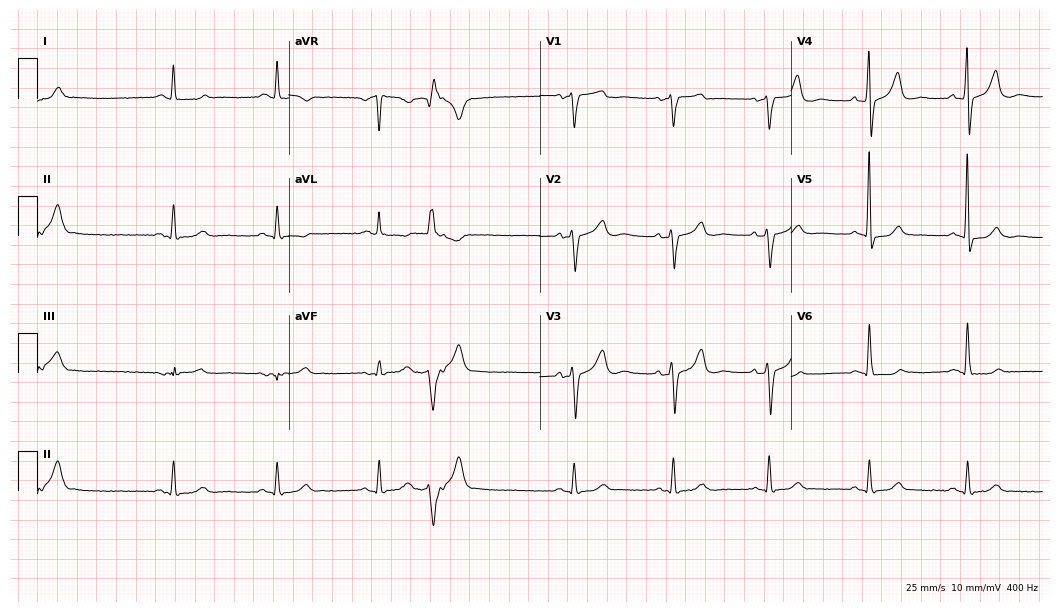
Resting 12-lead electrocardiogram (10.2-second recording at 400 Hz). Patient: a woman, 77 years old. None of these six findings is recorded: first-degree AV block, right bundle branch block (RBBB), left bundle branch block (LBBB), sinus bradycardia, atrial fibrillation (AF), sinus tachycardia.